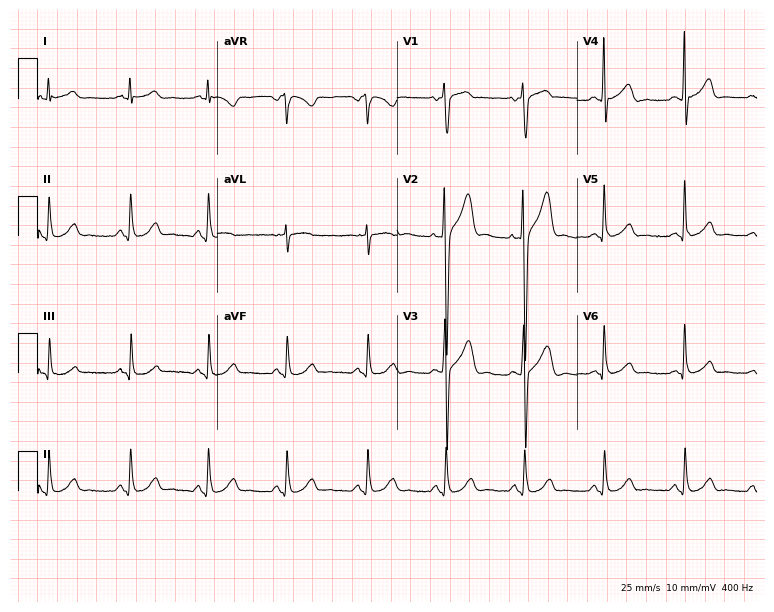
12-lead ECG (7.3-second recording at 400 Hz) from a male, 40 years old. Labelled as a normal ECG.